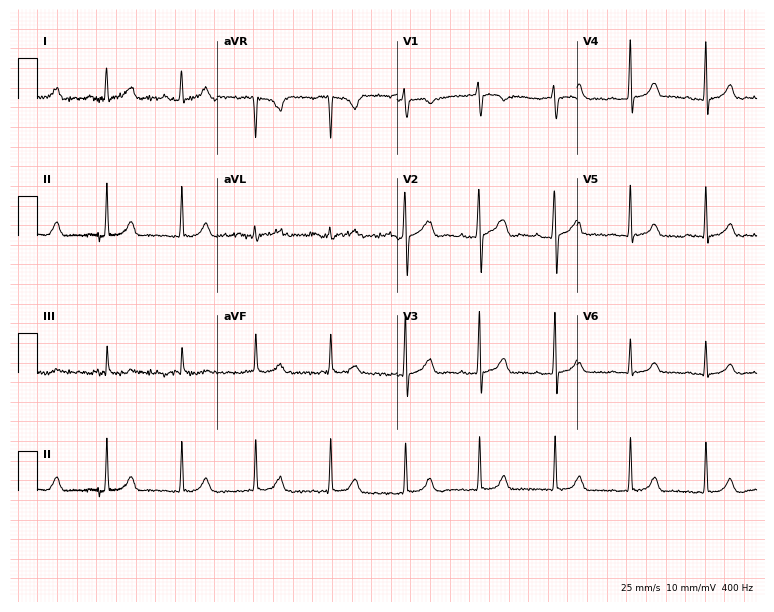
Electrocardiogram, a 27-year-old female. Overall reading on record: normal ECG.